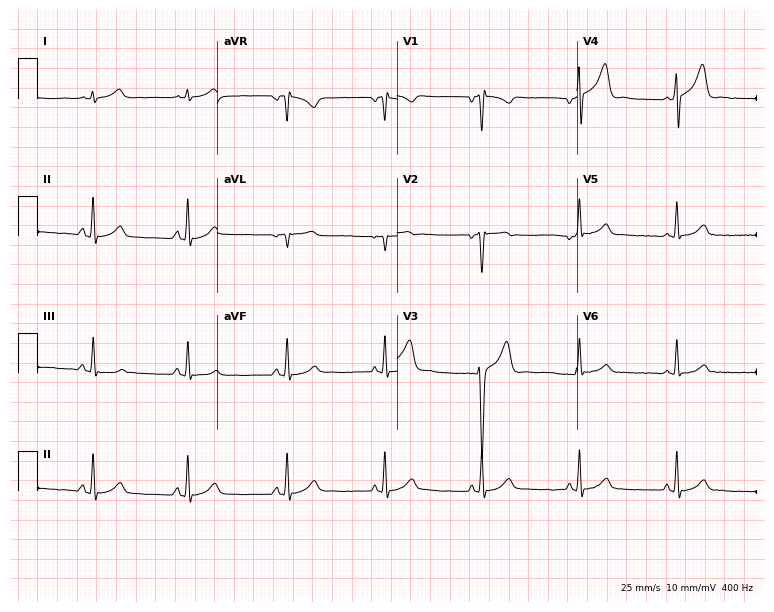
Electrocardiogram, a 20-year-old man. Of the six screened findings (first-degree AV block, right bundle branch block, left bundle branch block, sinus bradycardia, atrial fibrillation, sinus tachycardia), none is recorded. Other findings, if any, are not listed.